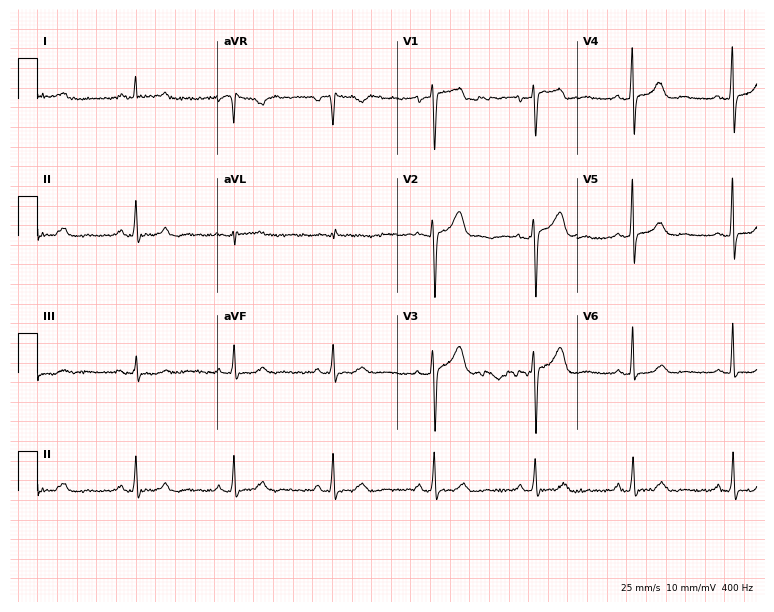
Resting 12-lead electrocardiogram (7.3-second recording at 400 Hz). Patient: a 61-year-old female. None of these six findings is recorded: first-degree AV block, right bundle branch block, left bundle branch block, sinus bradycardia, atrial fibrillation, sinus tachycardia.